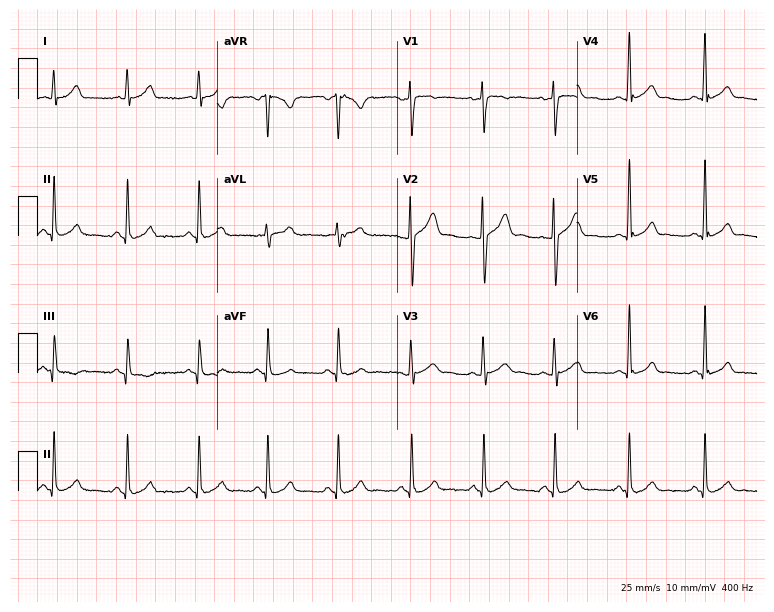
ECG (7.3-second recording at 400 Hz) — a male, 28 years old. Labelled as a normal ECG.